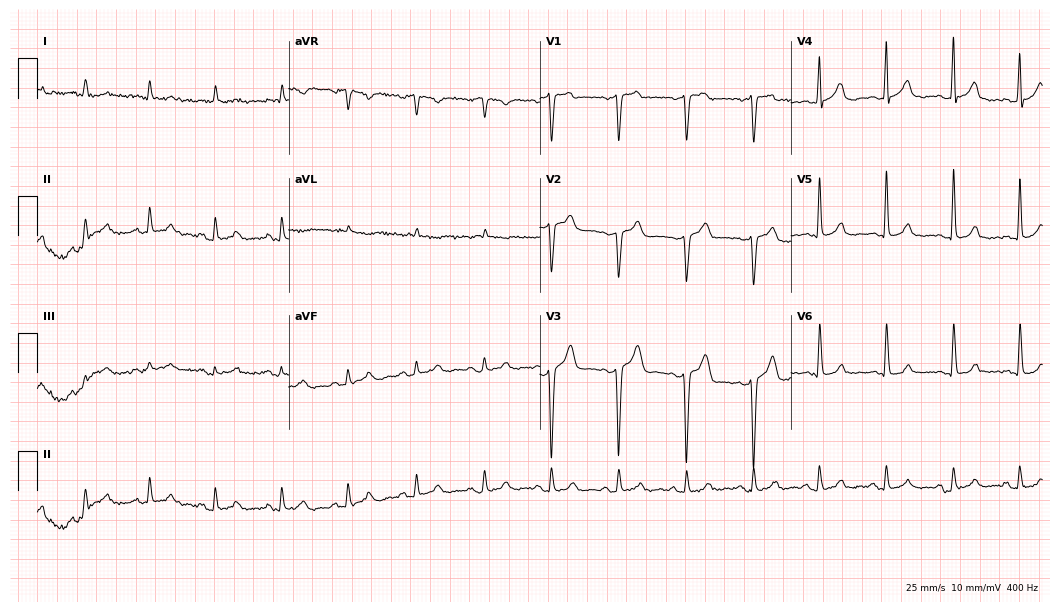
Electrocardiogram (10.2-second recording at 400 Hz), a male, 79 years old. Of the six screened findings (first-degree AV block, right bundle branch block (RBBB), left bundle branch block (LBBB), sinus bradycardia, atrial fibrillation (AF), sinus tachycardia), none is recorded.